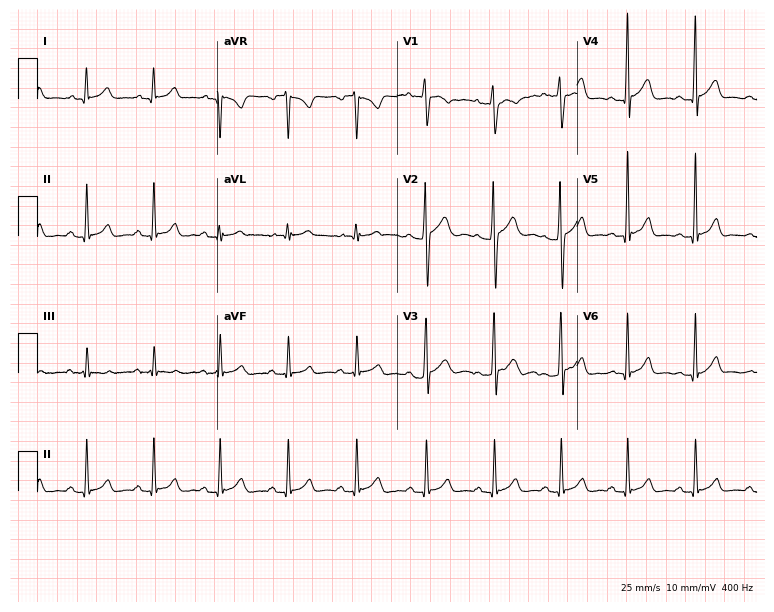
Resting 12-lead electrocardiogram. Patient: a male, 20 years old. Read as a normal ECG.